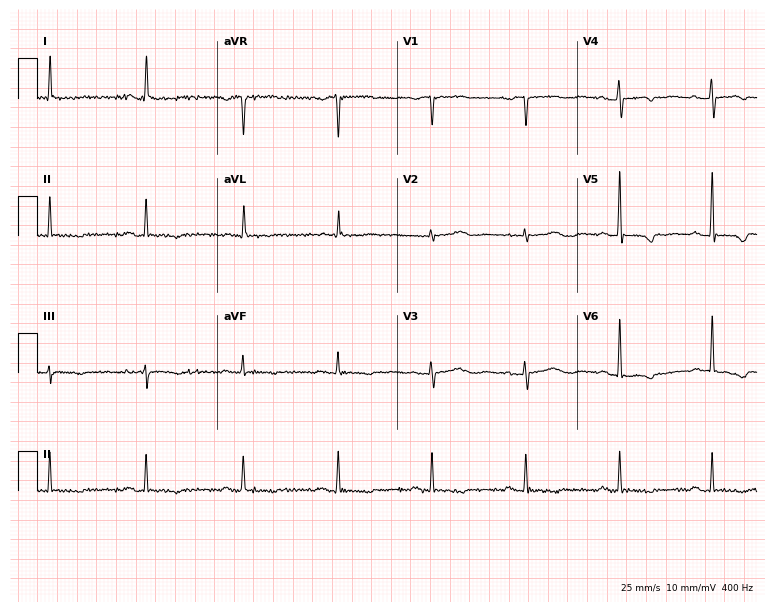
Electrocardiogram (7.3-second recording at 400 Hz), a female patient, 82 years old. Of the six screened findings (first-degree AV block, right bundle branch block (RBBB), left bundle branch block (LBBB), sinus bradycardia, atrial fibrillation (AF), sinus tachycardia), none is recorded. Findings outside these six are not listed.